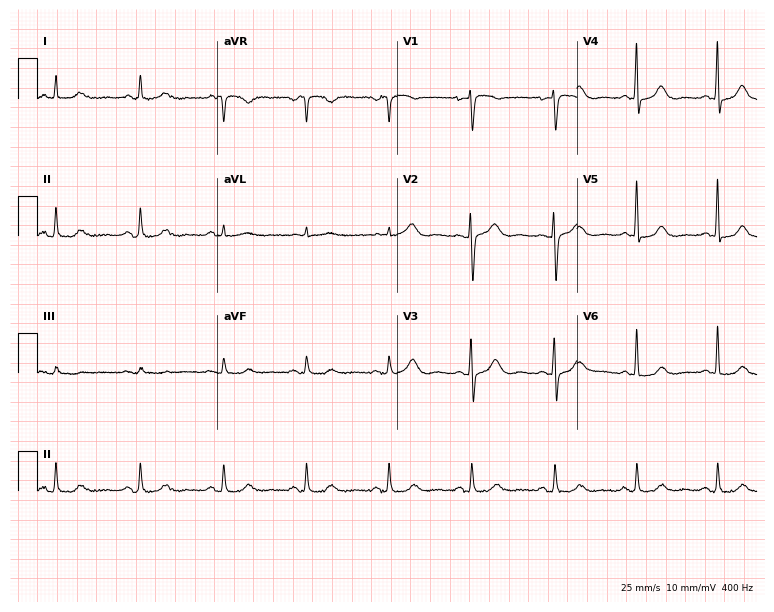
ECG (7.3-second recording at 400 Hz) — a 68-year-old female patient. Labelled as a normal ECG.